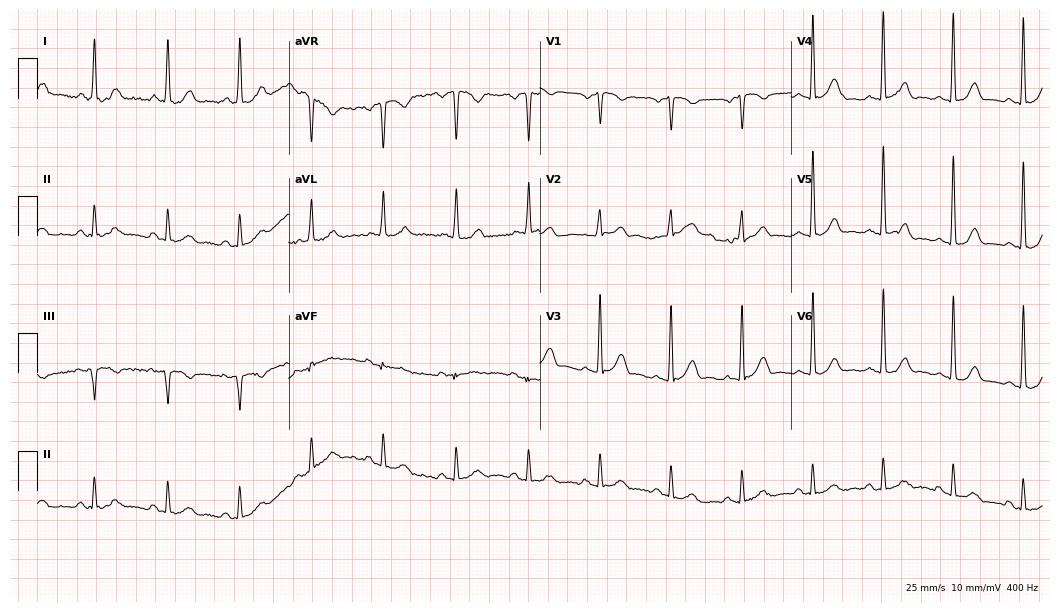
Standard 12-lead ECG recorded from a 41-year-old woman (10.2-second recording at 400 Hz). None of these six findings is recorded: first-degree AV block, right bundle branch block, left bundle branch block, sinus bradycardia, atrial fibrillation, sinus tachycardia. Only these six findings were labelled.